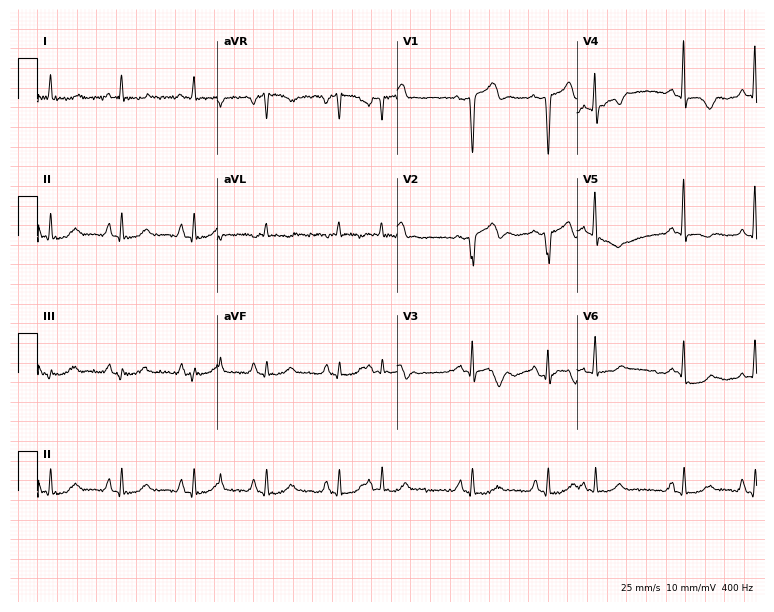
Standard 12-lead ECG recorded from a 73-year-old female patient (7.3-second recording at 400 Hz). None of these six findings is recorded: first-degree AV block, right bundle branch block, left bundle branch block, sinus bradycardia, atrial fibrillation, sinus tachycardia.